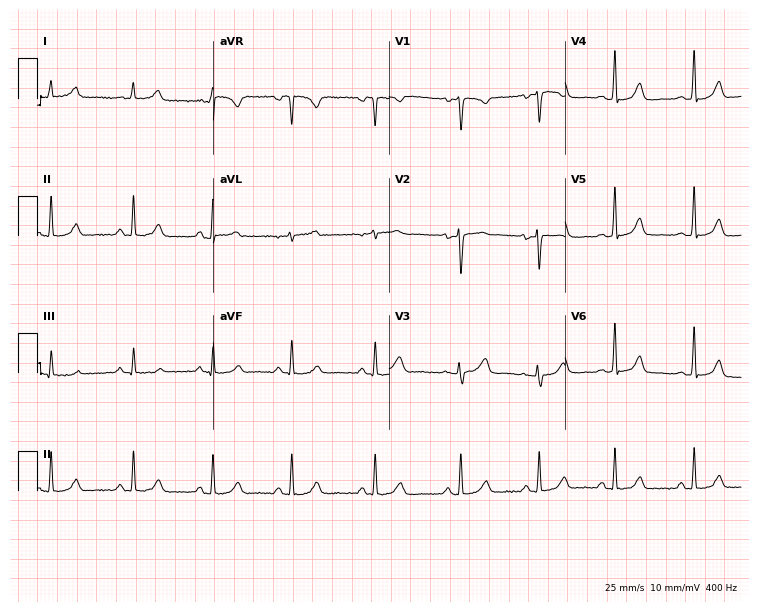
Standard 12-lead ECG recorded from a 44-year-old female patient (7.2-second recording at 400 Hz). Read as a normal ECG.